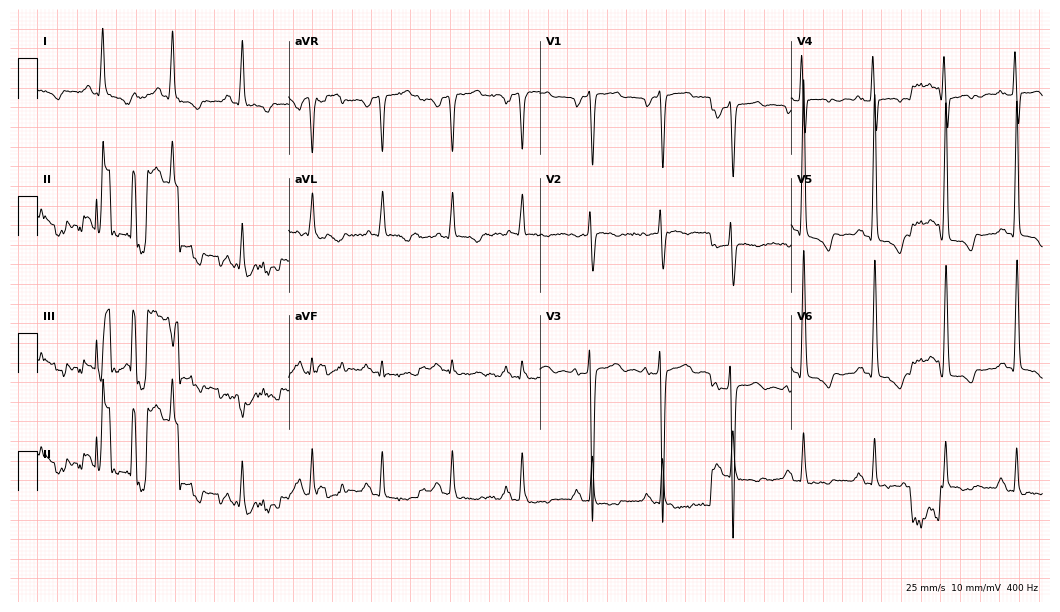
12-lead ECG from a 52-year-old male (10.2-second recording at 400 Hz). No first-degree AV block, right bundle branch block (RBBB), left bundle branch block (LBBB), sinus bradycardia, atrial fibrillation (AF) or sinus tachycardia recorded for this tracing. Findings outside these six are not listed.